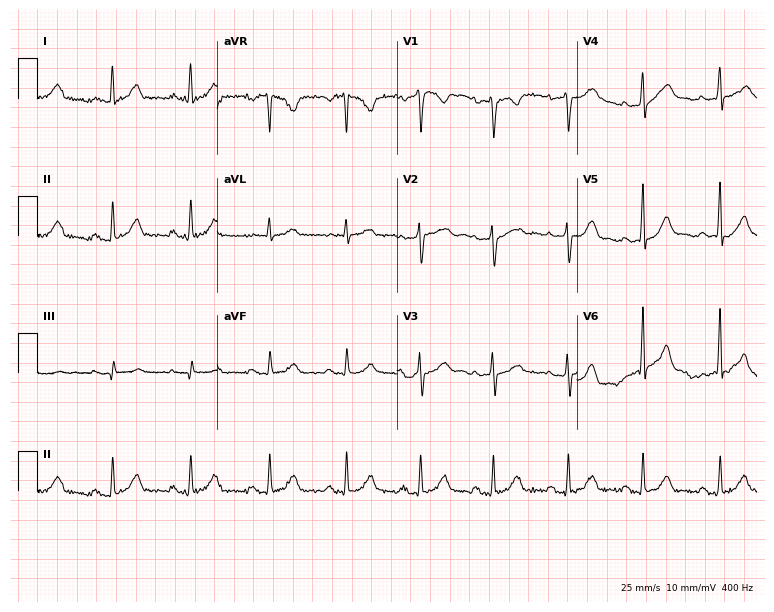
Standard 12-lead ECG recorded from a female, 29 years old (7.3-second recording at 400 Hz). Read as a normal ECG.